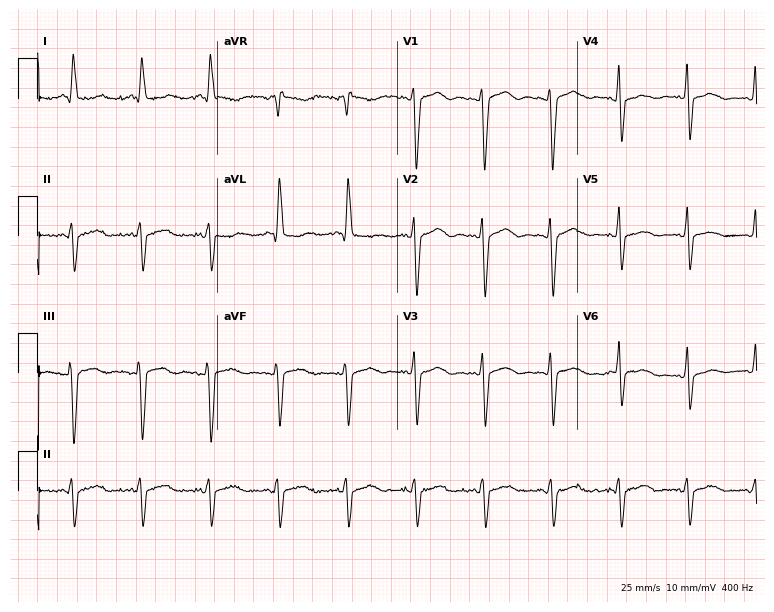
ECG (7.3-second recording at 400 Hz) — a female, 83 years old. Screened for six findings — first-degree AV block, right bundle branch block, left bundle branch block, sinus bradycardia, atrial fibrillation, sinus tachycardia — none is recorded.